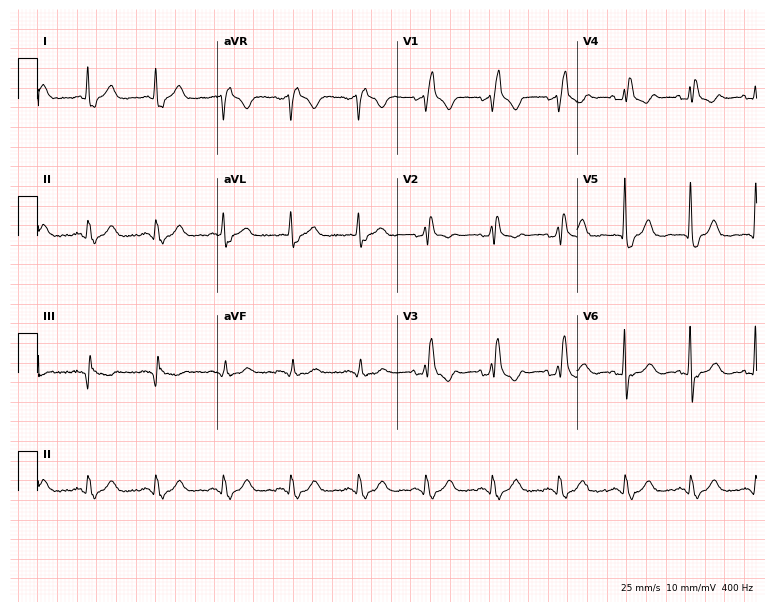
ECG — a male, 74 years old. Findings include right bundle branch block.